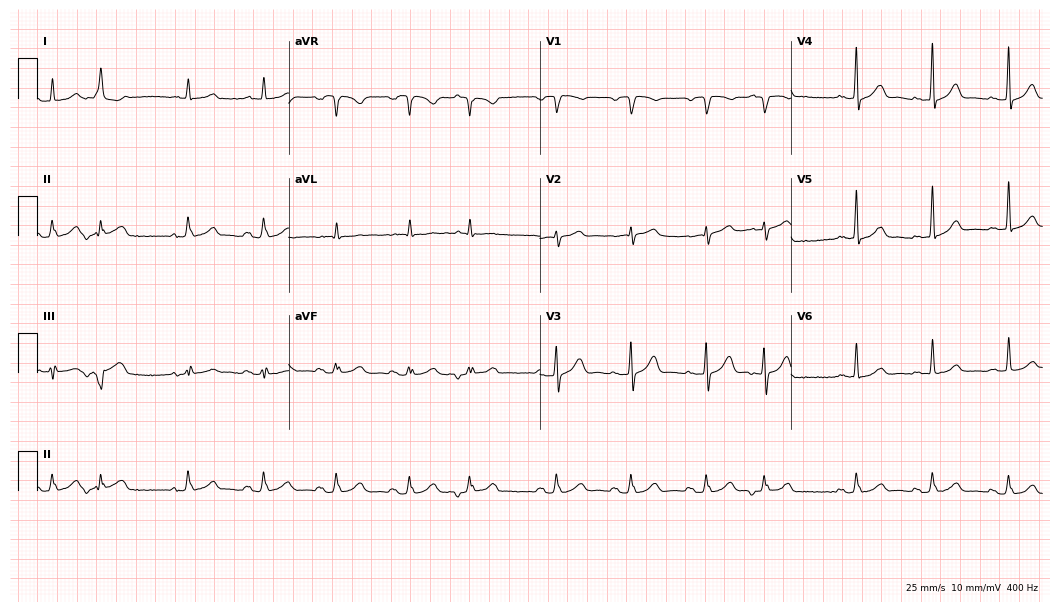
Resting 12-lead electrocardiogram (10.2-second recording at 400 Hz). Patient: a man, 86 years old. None of these six findings is recorded: first-degree AV block, right bundle branch block (RBBB), left bundle branch block (LBBB), sinus bradycardia, atrial fibrillation (AF), sinus tachycardia. Other findings, if any, are not listed.